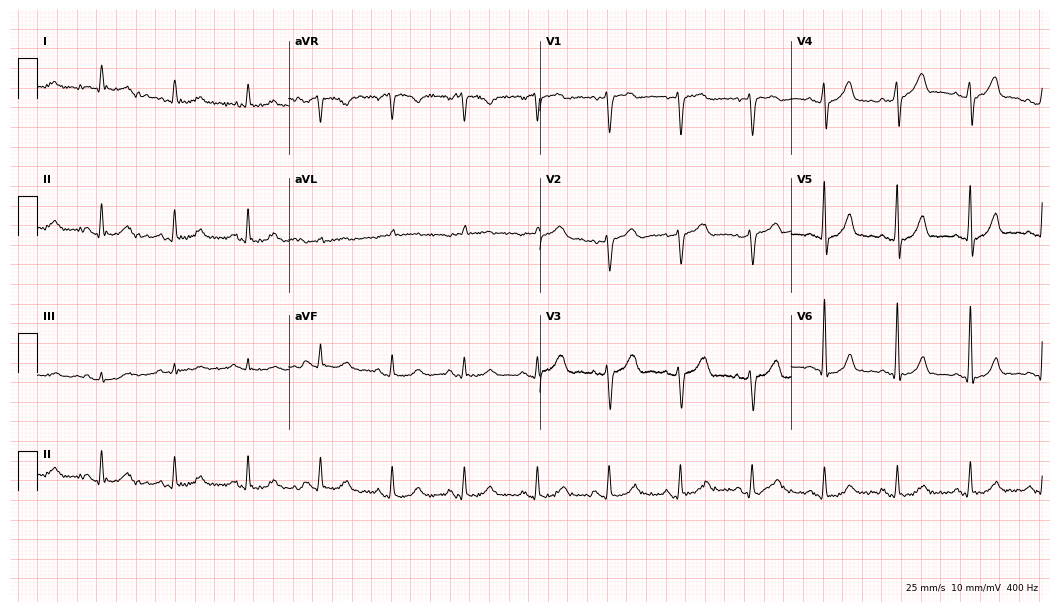
ECG (10.2-second recording at 400 Hz) — a 65-year-old man. Labelled as a normal ECG.